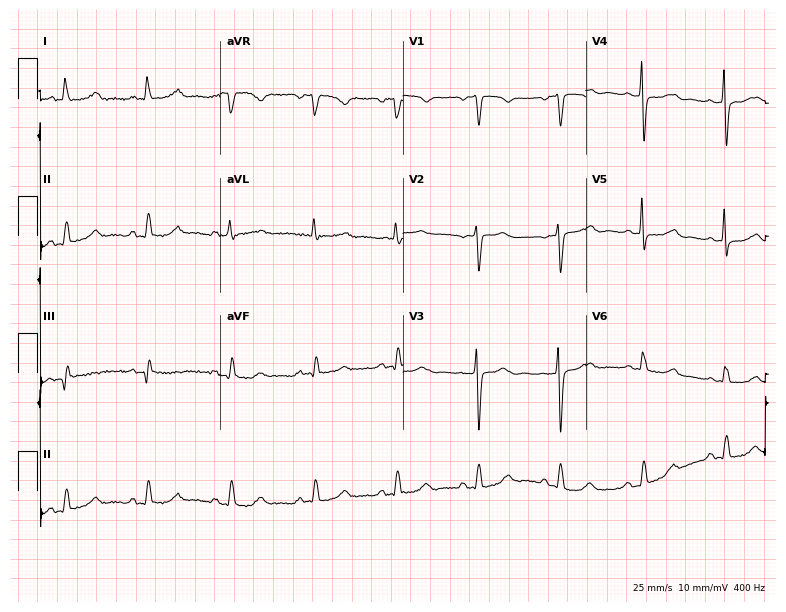
12-lead ECG from a woman, 72 years old. No first-degree AV block, right bundle branch block, left bundle branch block, sinus bradycardia, atrial fibrillation or sinus tachycardia recorded for this tracing.